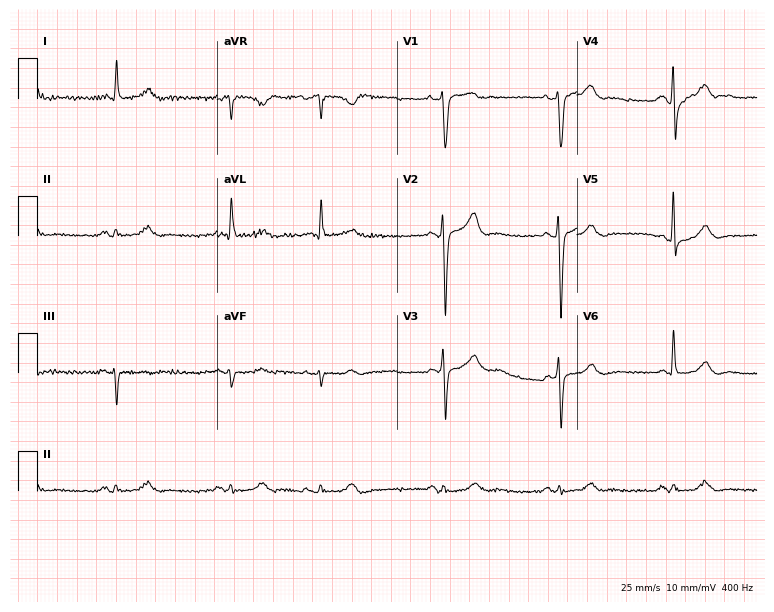
12-lead ECG from an 82-year-old man. Labelled as a normal ECG.